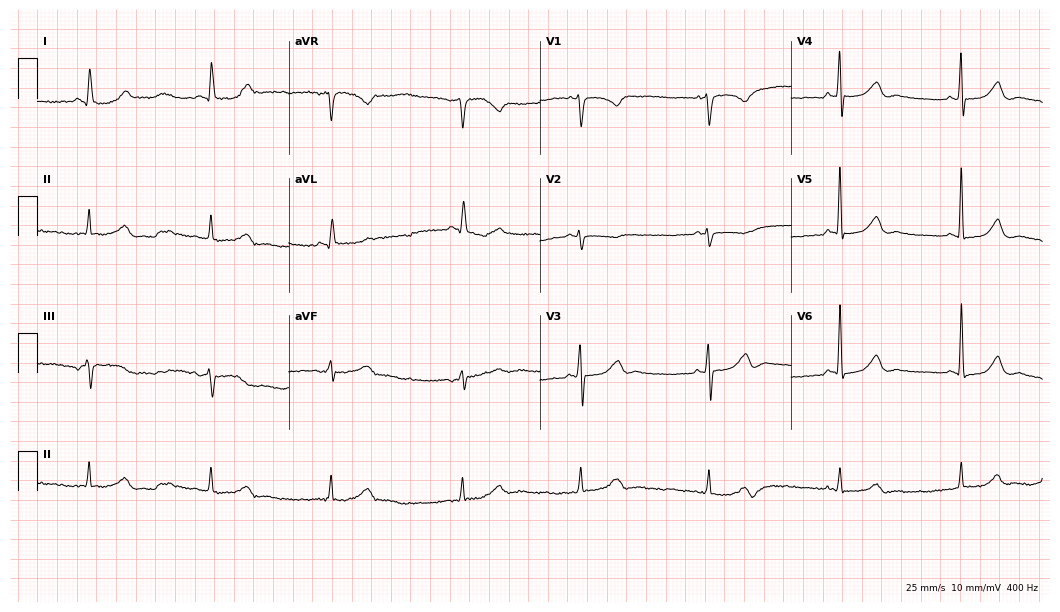
ECG (10.2-second recording at 400 Hz) — a female patient, 66 years old. Findings include sinus bradycardia (a sinus rate of 50 beats per minute or less).